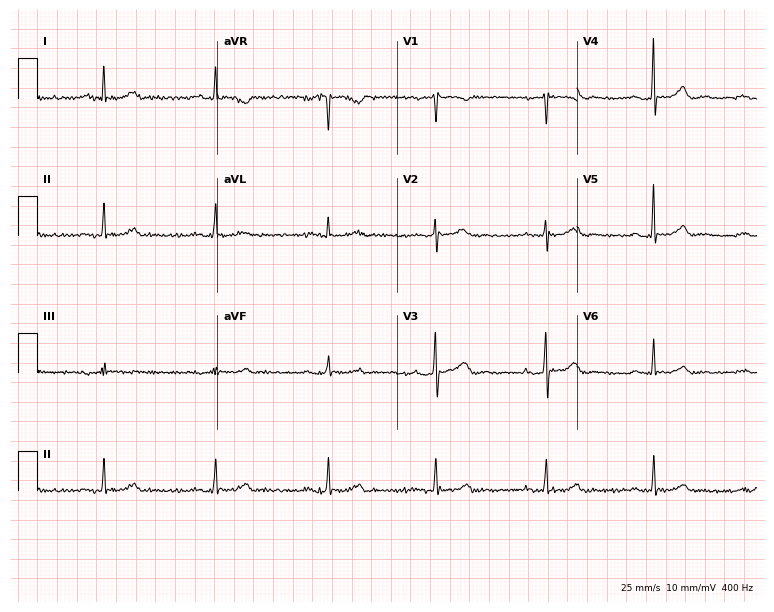
ECG (7.3-second recording at 400 Hz) — a man, 78 years old. Screened for six findings — first-degree AV block, right bundle branch block, left bundle branch block, sinus bradycardia, atrial fibrillation, sinus tachycardia — none is recorded. Findings outside these six are not listed.